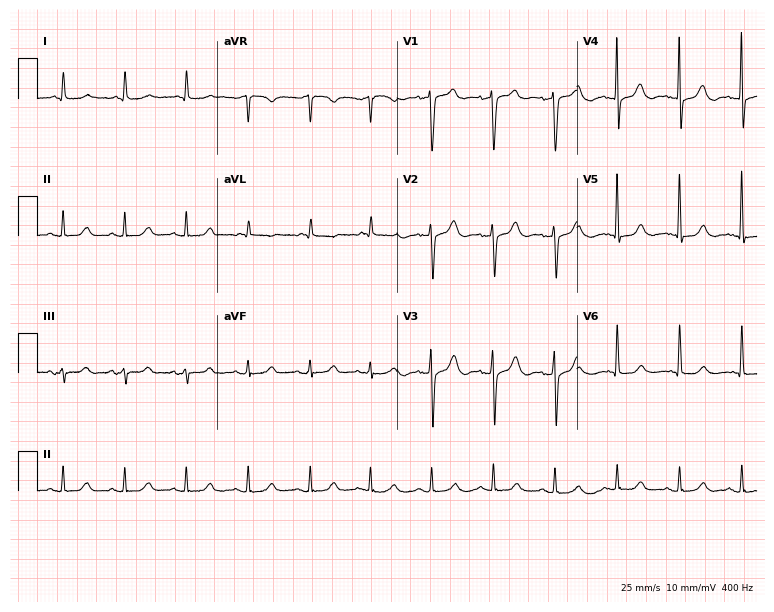
12-lead ECG from a female, 80 years old (7.3-second recording at 400 Hz). No first-degree AV block, right bundle branch block (RBBB), left bundle branch block (LBBB), sinus bradycardia, atrial fibrillation (AF) or sinus tachycardia recorded for this tracing. Findings outside these six are not listed.